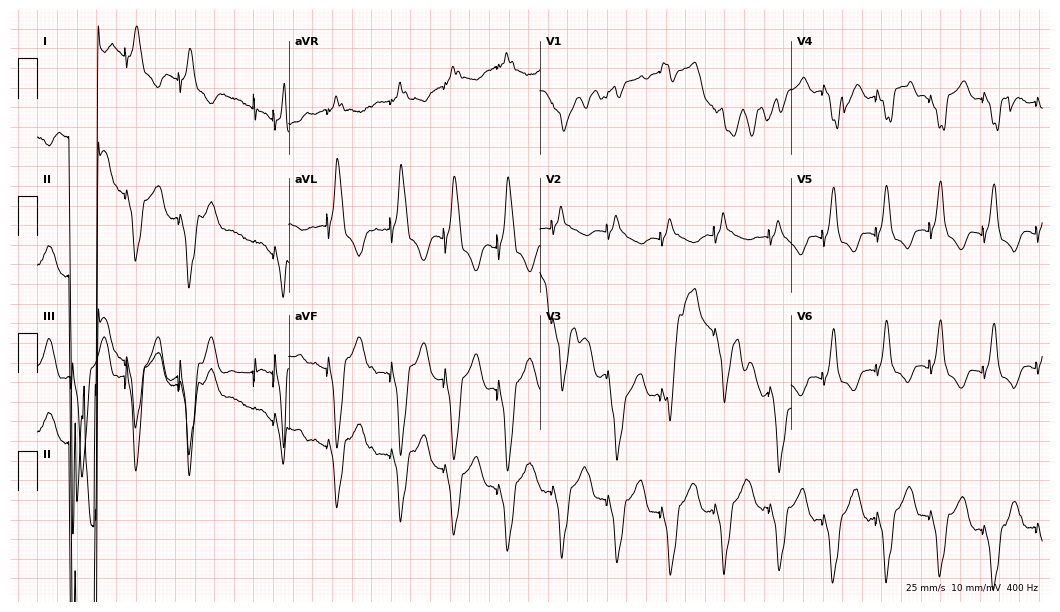
Resting 12-lead electrocardiogram. Patient: a female, 83 years old. None of these six findings is recorded: first-degree AV block, right bundle branch block, left bundle branch block, sinus bradycardia, atrial fibrillation, sinus tachycardia.